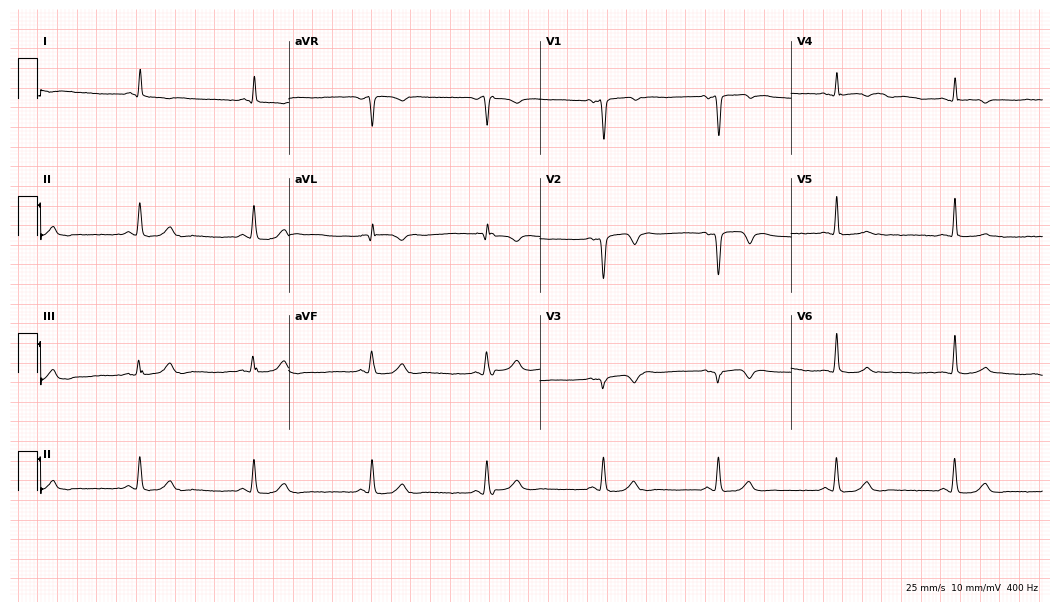
ECG — a 61-year-old male patient. Screened for six findings — first-degree AV block, right bundle branch block, left bundle branch block, sinus bradycardia, atrial fibrillation, sinus tachycardia — none is recorded. Other findings, if any, are not listed.